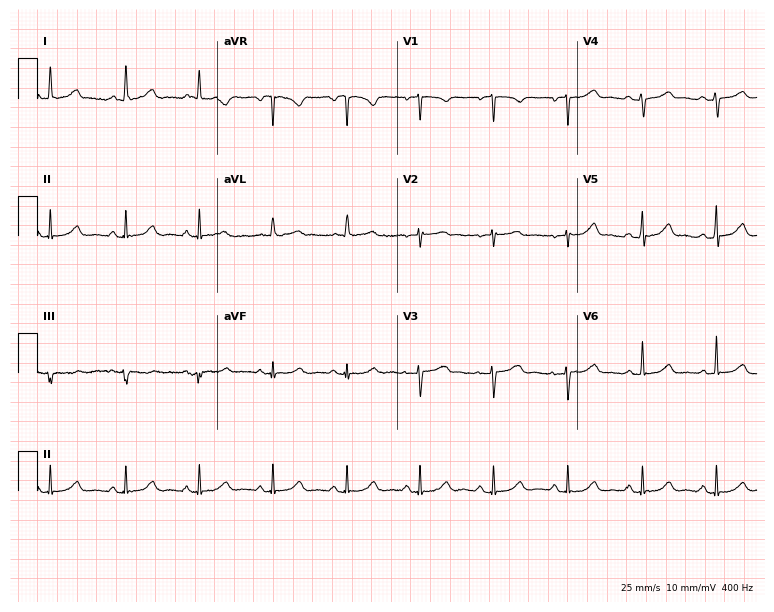
12-lead ECG from a 43-year-old woman (7.3-second recording at 400 Hz). No first-degree AV block, right bundle branch block (RBBB), left bundle branch block (LBBB), sinus bradycardia, atrial fibrillation (AF) or sinus tachycardia recorded for this tracing.